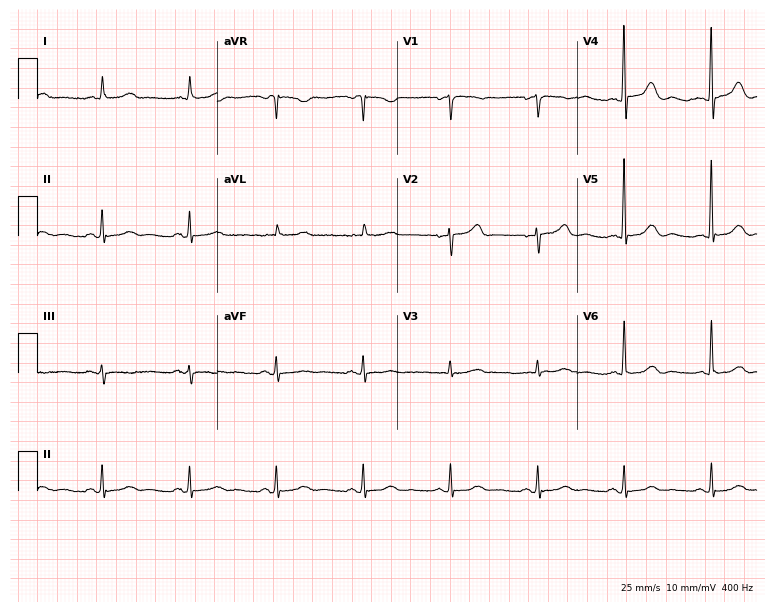
Resting 12-lead electrocardiogram. Patient: a 64-year-old woman. None of these six findings is recorded: first-degree AV block, right bundle branch block, left bundle branch block, sinus bradycardia, atrial fibrillation, sinus tachycardia.